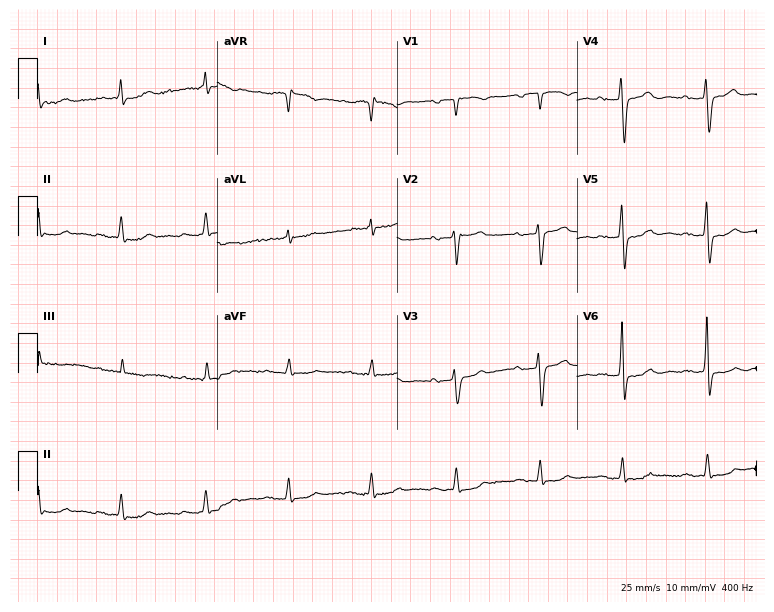
12-lead ECG from a 75-year-old male patient. No first-degree AV block, right bundle branch block (RBBB), left bundle branch block (LBBB), sinus bradycardia, atrial fibrillation (AF) or sinus tachycardia recorded for this tracing. Findings outside these six are not listed.